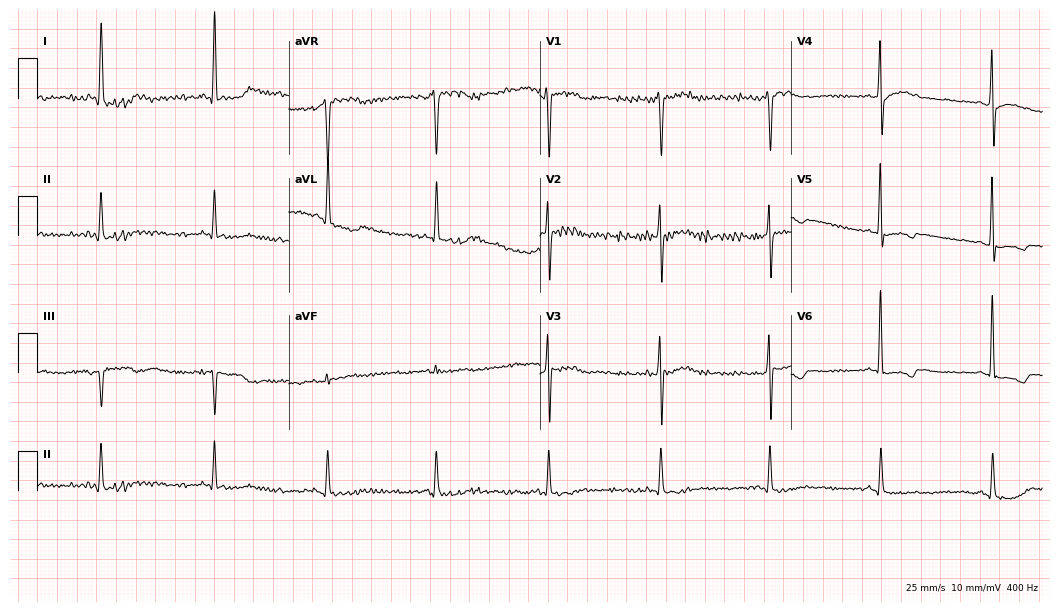
ECG — a female, 85 years old. Screened for six findings — first-degree AV block, right bundle branch block, left bundle branch block, sinus bradycardia, atrial fibrillation, sinus tachycardia — none is recorded. Only these six findings were labelled.